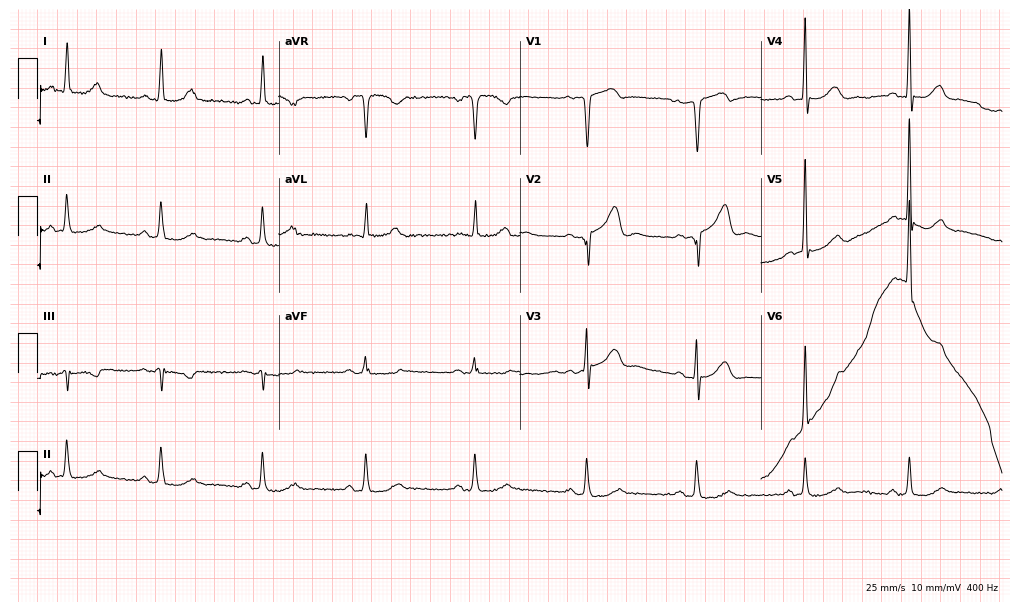
Standard 12-lead ECG recorded from a man, 82 years old. None of these six findings is recorded: first-degree AV block, right bundle branch block, left bundle branch block, sinus bradycardia, atrial fibrillation, sinus tachycardia.